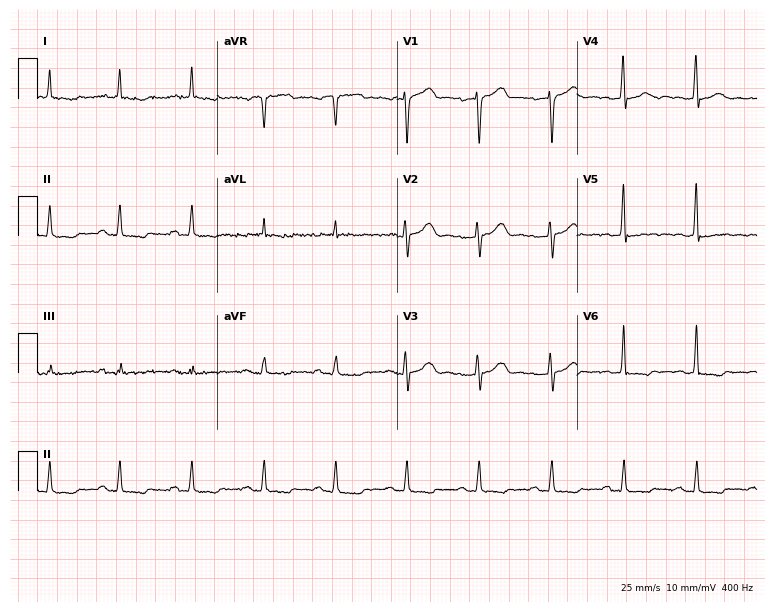
12-lead ECG (7.3-second recording at 400 Hz) from a man, 73 years old. Screened for six findings — first-degree AV block, right bundle branch block, left bundle branch block, sinus bradycardia, atrial fibrillation, sinus tachycardia — none is recorded.